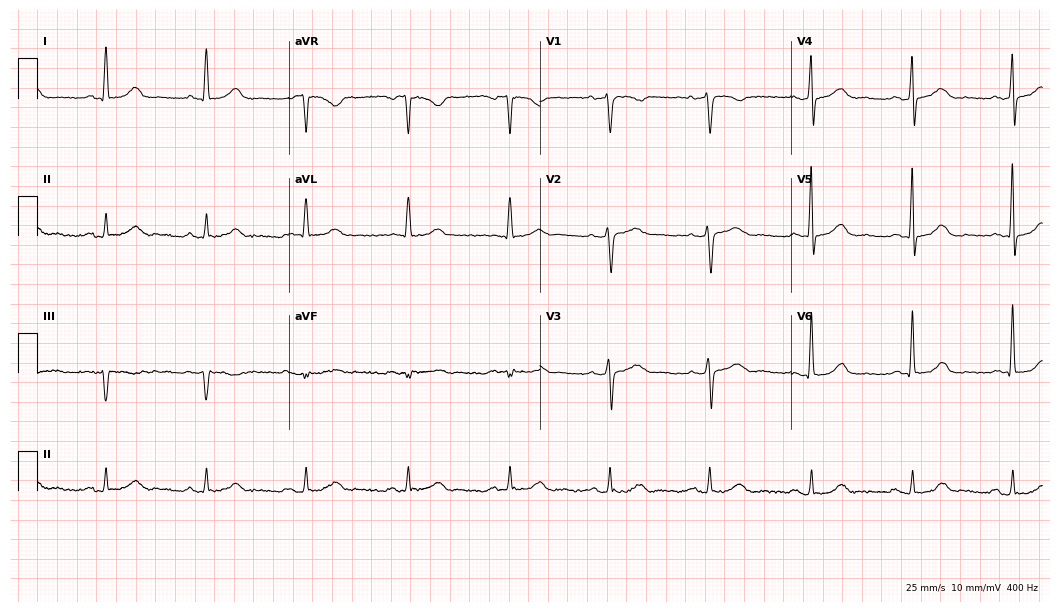
Standard 12-lead ECG recorded from a female, 63 years old. Read as a normal ECG.